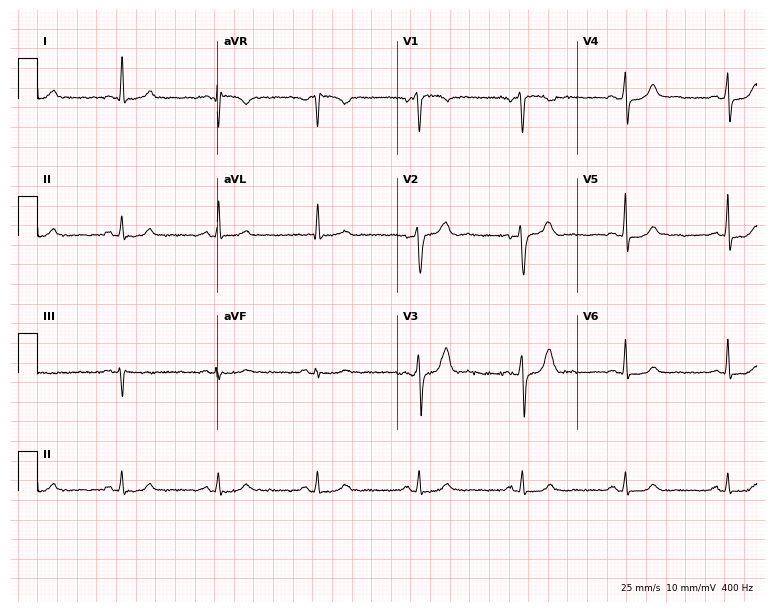
12-lead ECG from a 54-year-old male patient (7.3-second recording at 400 Hz). Recorded interpretation: within normal limits.